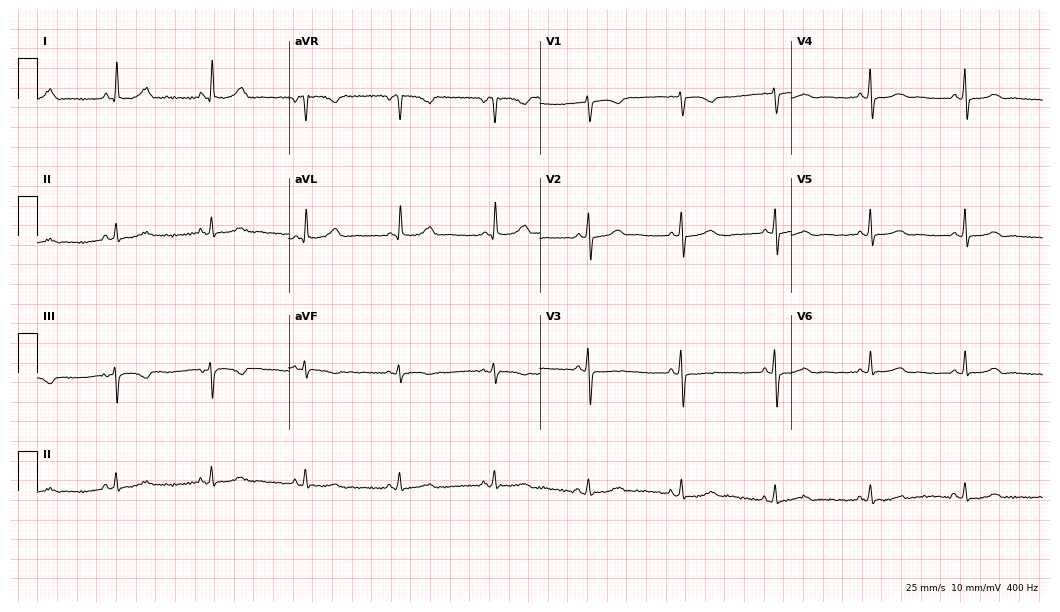
12-lead ECG from a woman, 80 years old (10.2-second recording at 400 Hz). Recorded interpretation: within normal limits.